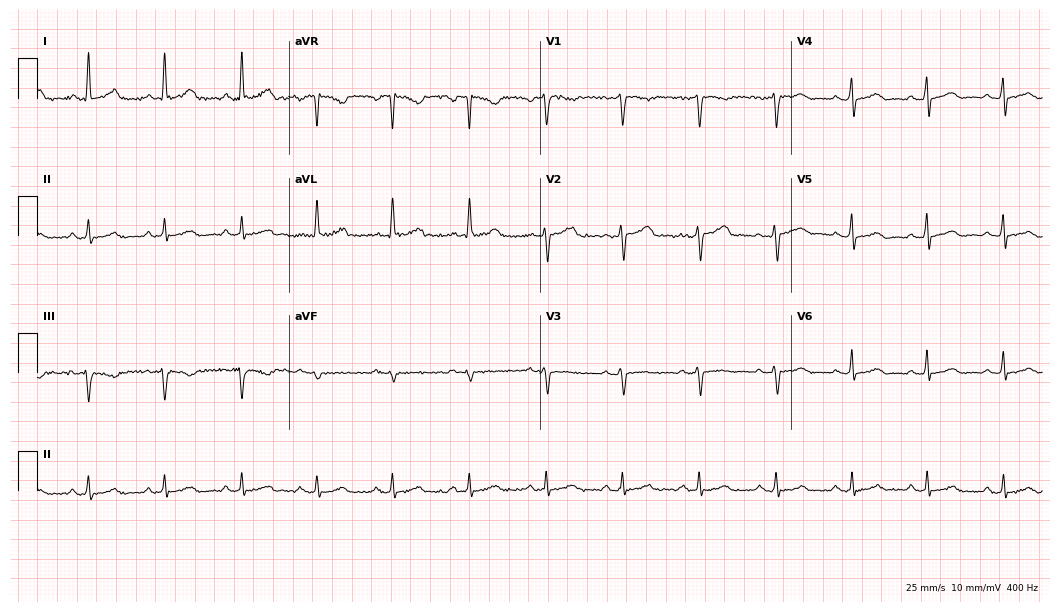
Electrocardiogram, a woman, 50 years old. Overall reading on record: normal ECG.